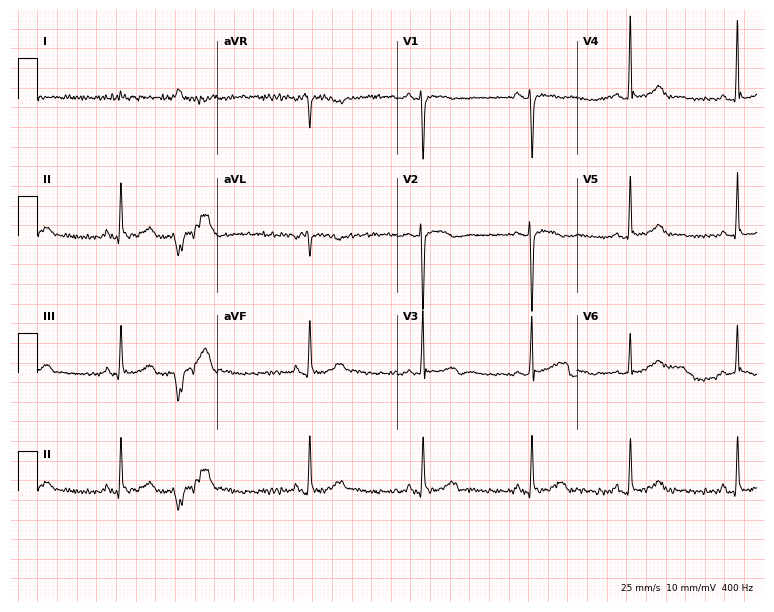
Electrocardiogram, a 67-year-old female. Of the six screened findings (first-degree AV block, right bundle branch block (RBBB), left bundle branch block (LBBB), sinus bradycardia, atrial fibrillation (AF), sinus tachycardia), none is recorded.